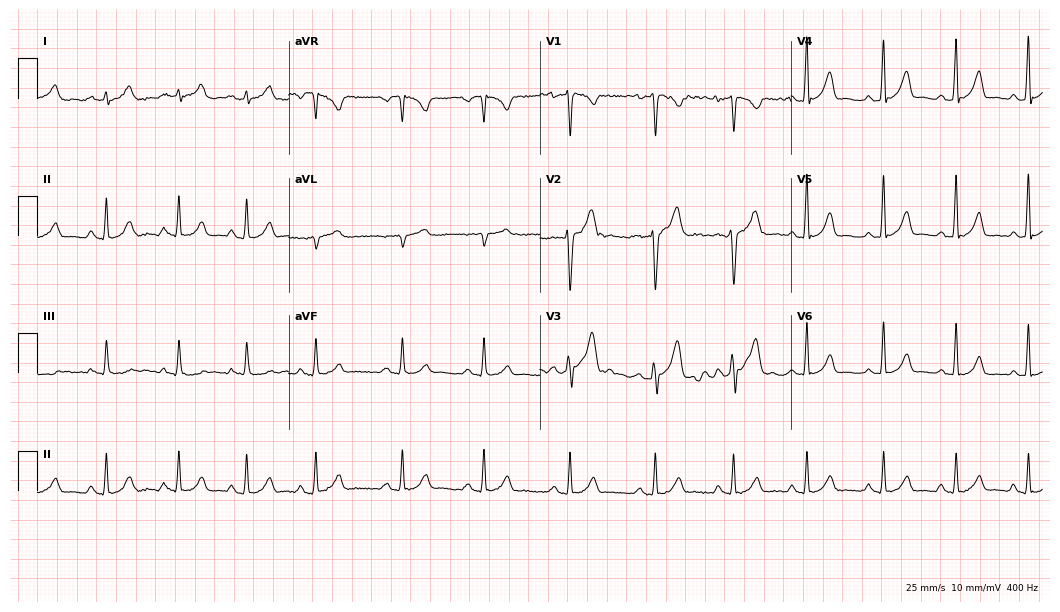
12-lead ECG from a 21-year-old male patient. Screened for six findings — first-degree AV block, right bundle branch block, left bundle branch block, sinus bradycardia, atrial fibrillation, sinus tachycardia — none is recorded.